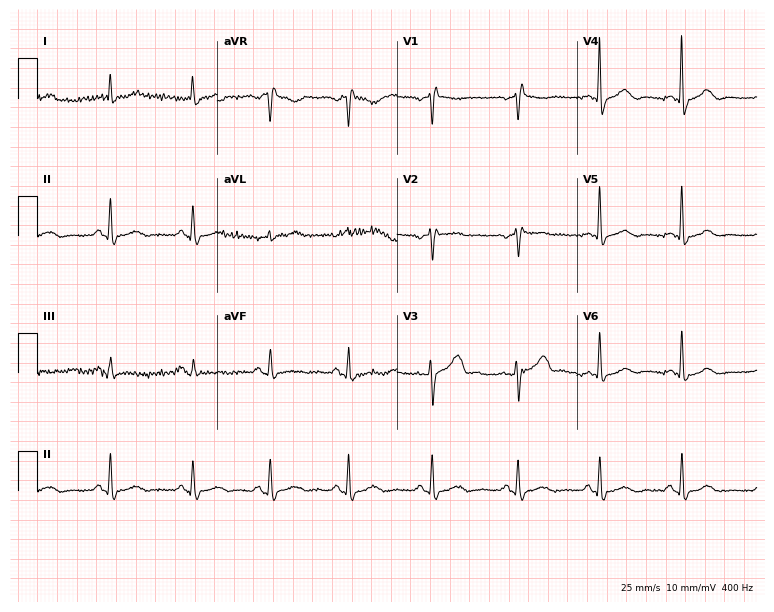
Resting 12-lead electrocardiogram (7.3-second recording at 400 Hz). Patient: a 78-year-old female. None of these six findings is recorded: first-degree AV block, right bundle branch block, left bundle branch block, sinus bradycardia, atrial fibrillation, sinus tachycardia. Other findings, if any, are not listed.